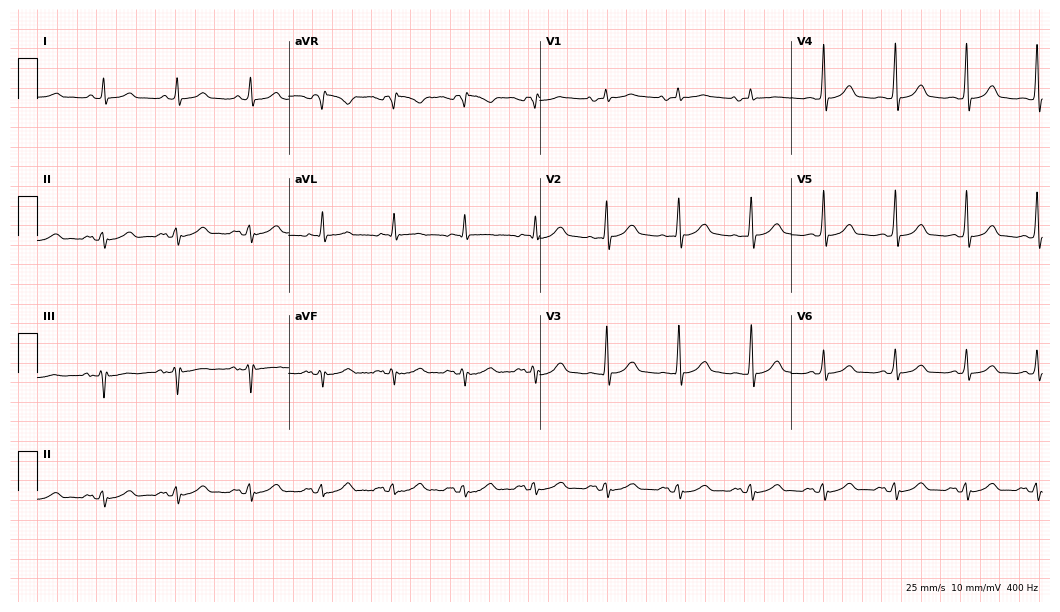
Electrocardiogram, a man, 78 years old. Of the six screened findings (first-degree AV block, right bundle branch block, left bundle branch block, sinus bradycardia, atrial fibrillation, sinus tachycardia), none is recorded.